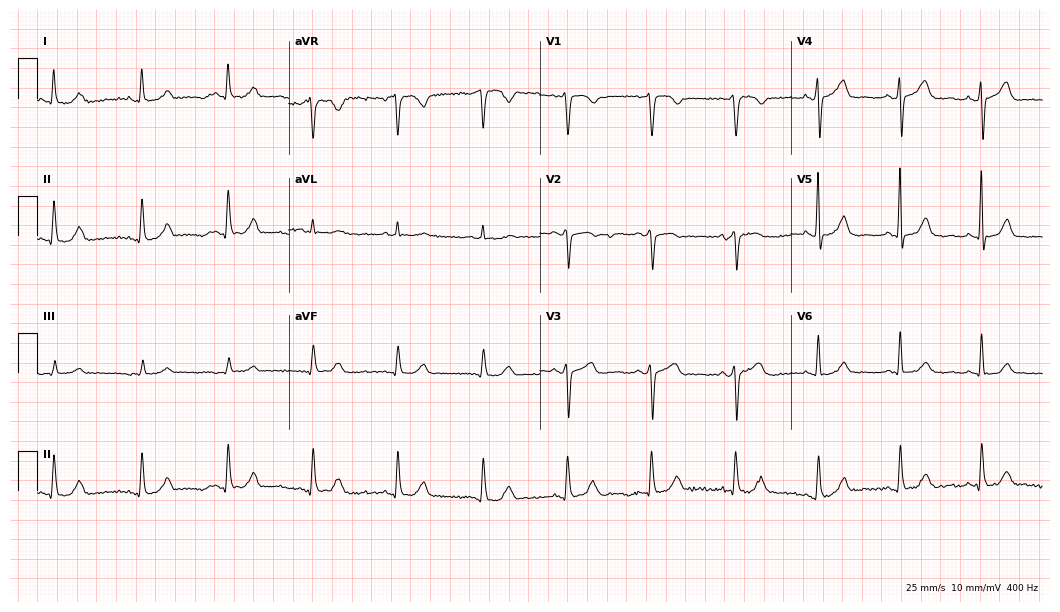
Standard 12-lead ECG recorded from a 59-year-old female patient. Read as a normal ECG.